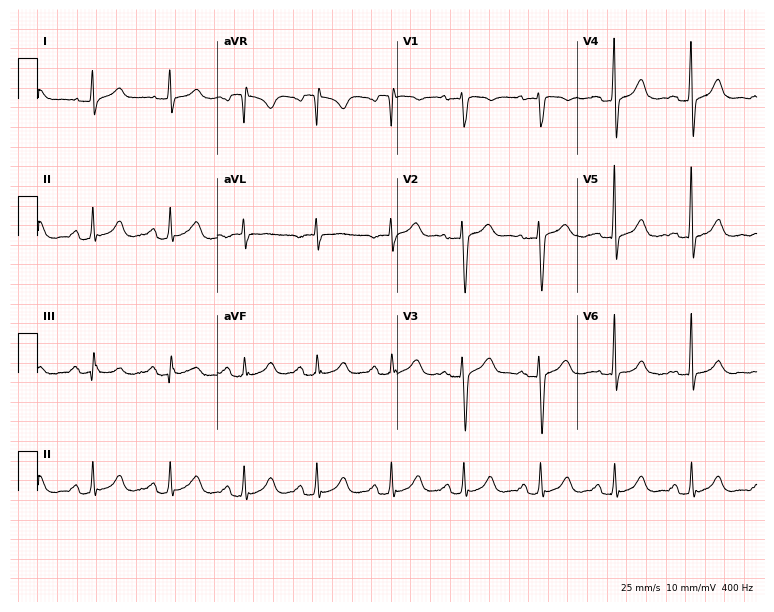
Resting 12-lead electrocardiogram (7.3-second recording at 400 Hz). Patient: a female, 50 years old. Read as a normal ECG.